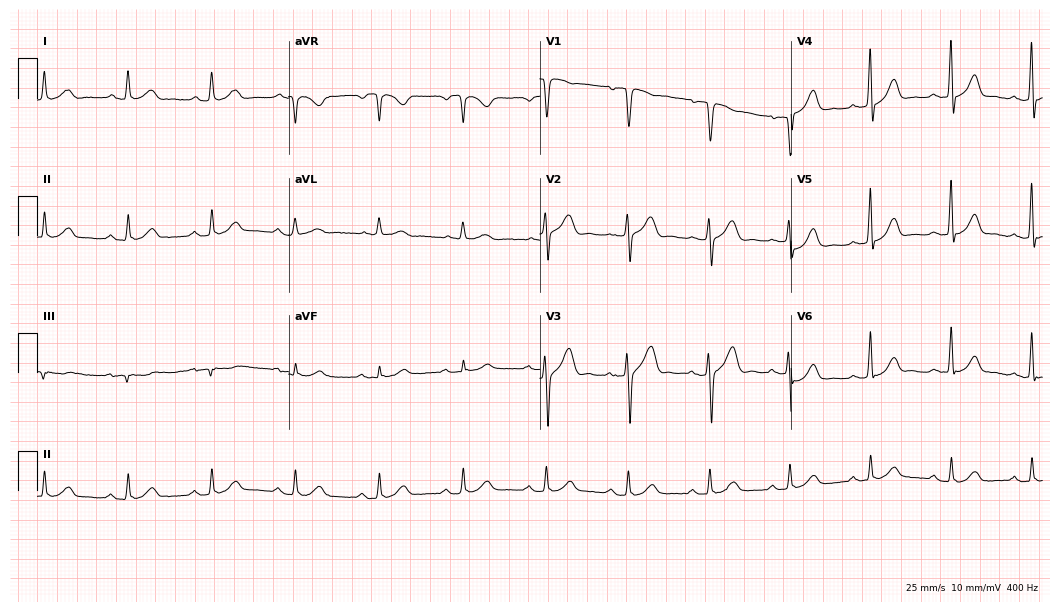
12-lead ECG from a 54-year-old male patient. Screened for six findings — first-degree AV block, right bundle branch block, left bundle branch block, sinus bradycardia, atrial fibrillation, sinus tachycardia — none is recorded.